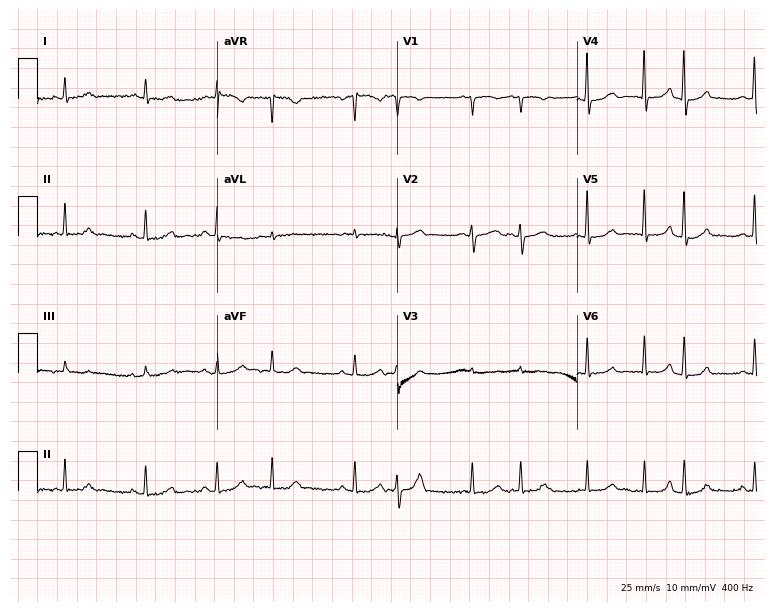
12-lead ECG from a woman, 81 years old (7.3-second recording at 400 Hz). No first-degree AV block, right bundle branch block (RBBB), left bundle branch block (LBBB), sinus bradycardia, atrial fibrillation (AF) or sinus tachycardia recorded for this tracing. Only these six findings were labelled.